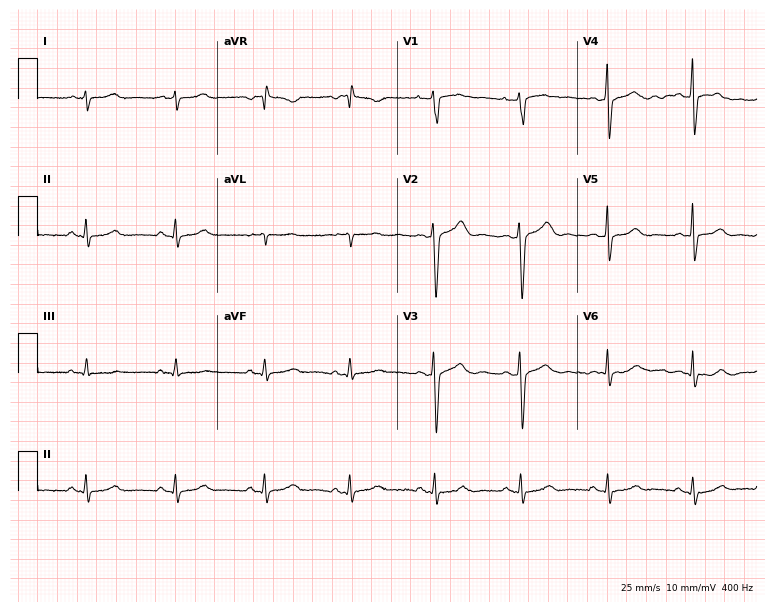
12-lead ECG from a female patient, 37 years old (7.3-second recording at 400 Hz). Recorded interpretation: within normal limits.